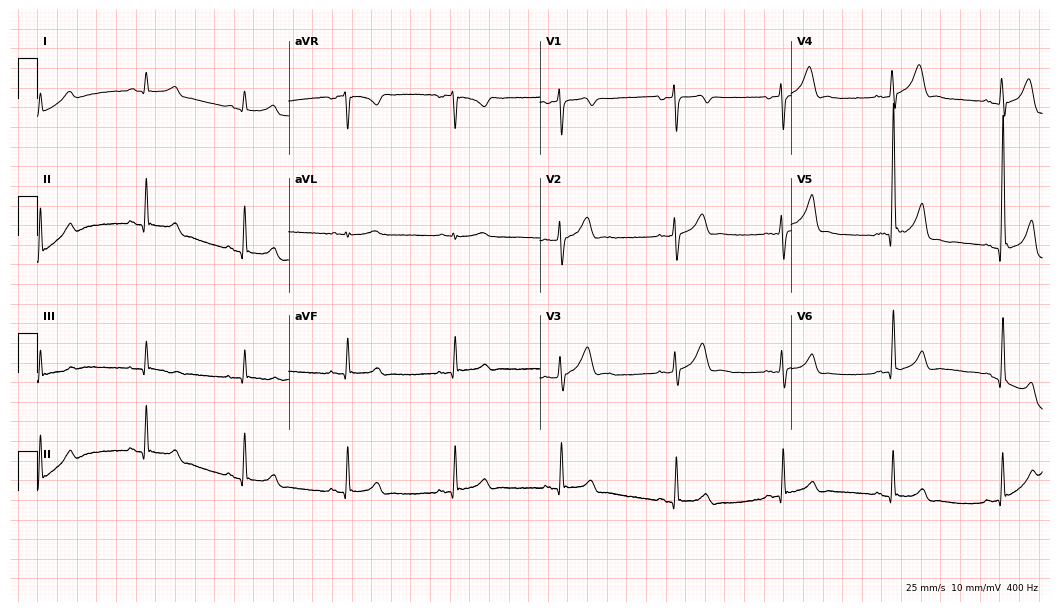
12-lead ECG from a 35-year-old male patient. Labelled as a normal ECG.